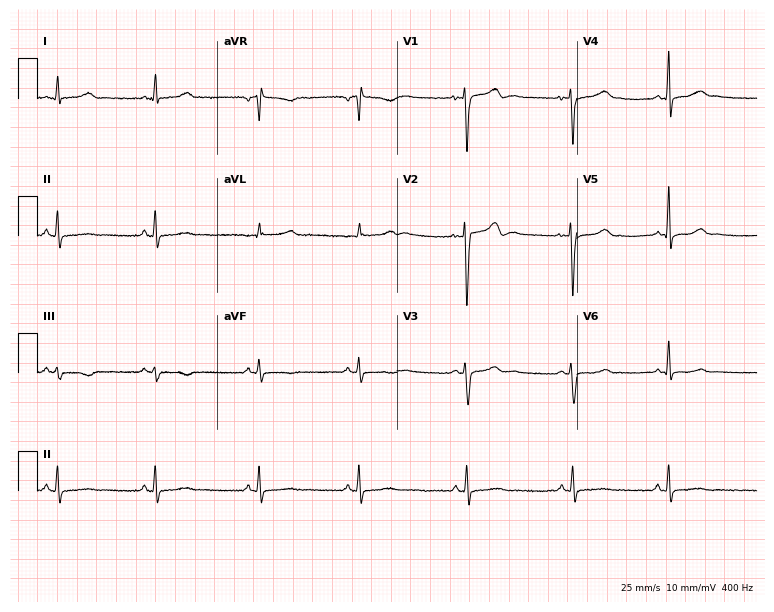
Standard 12-lead ECG recorded from a 36-year-old woman. None of these six findings is recorded: first-degree AV block, right bundle branch block (RBBB), left bundle branch block (LBBB), sinus bradycardia, atrial fibrillation (AF), sinus tachycardia. Only these six findings were labelled.